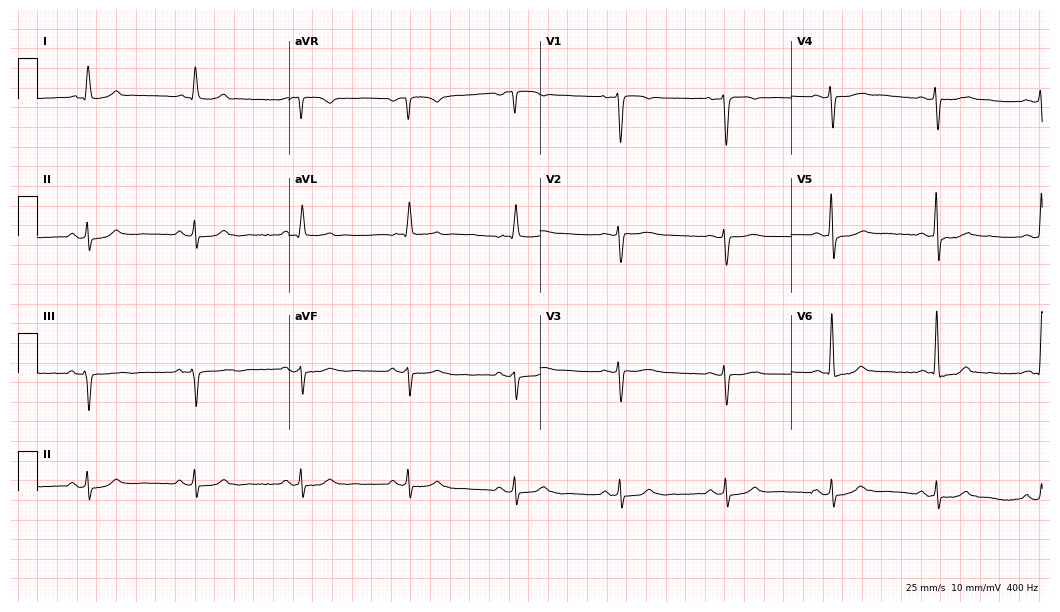
ECG — a 73-year-old male. Labelled as a normal ECG.